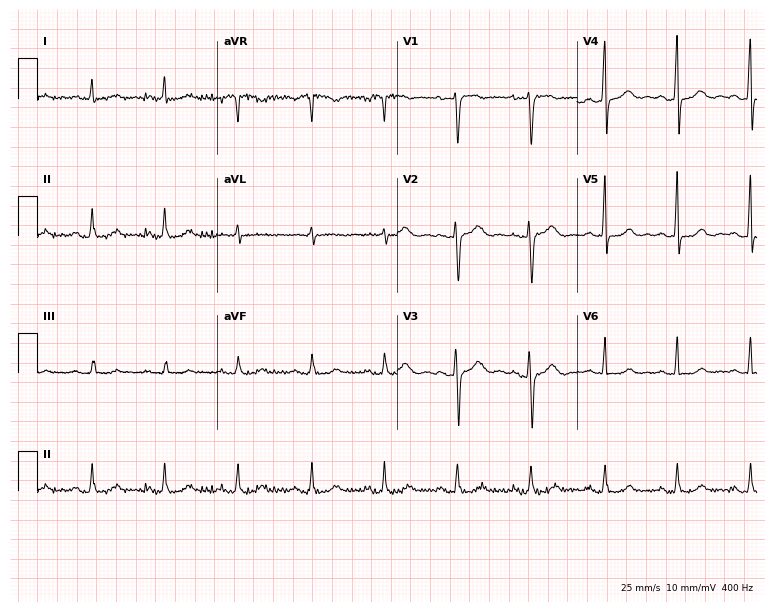
Electrocardiogram (7.3-second recording at 400 Hz), a woman, 48 years old. Overall reading on record: normal ECG.